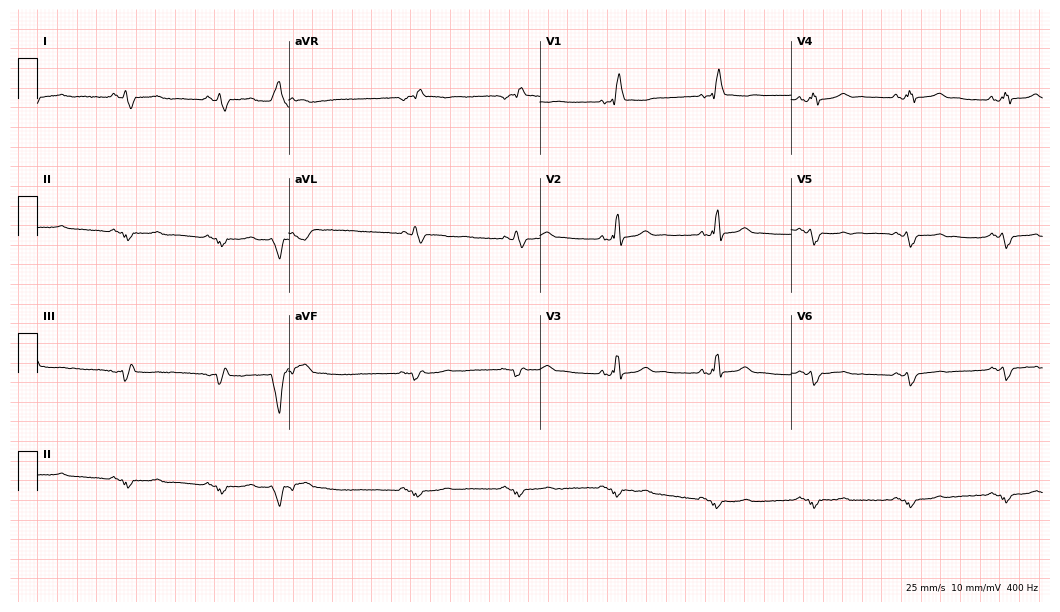
Resting 12-lead electrocardiogram (10.2-second recording at 400 Hz). Patient: a 73-year-old man. The tracing shows right bundle branch block.